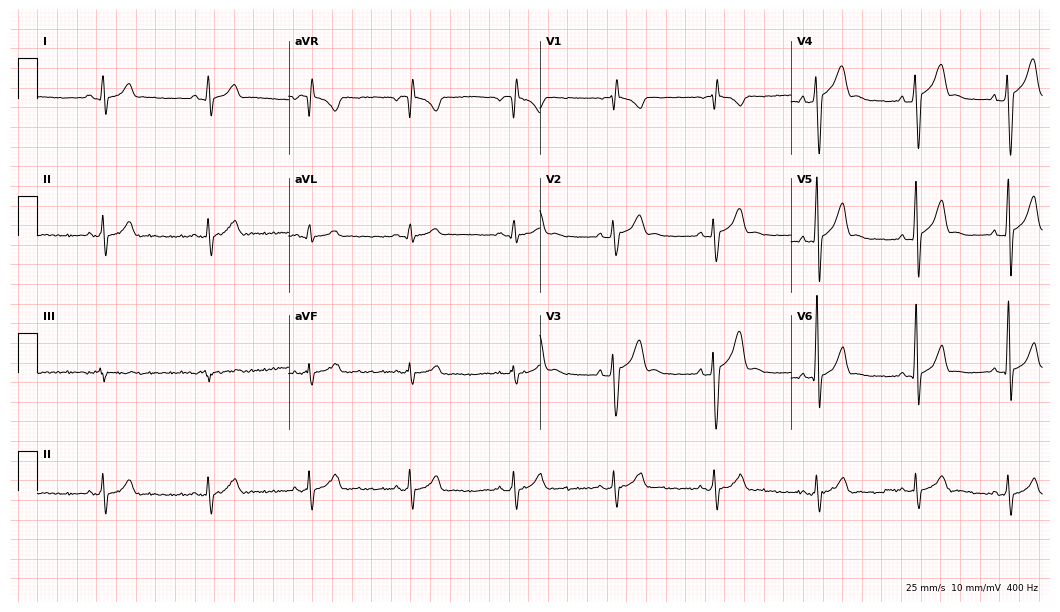
ECG — a 19-year-old male. Screened for six findings — first-degree AV block, right bundle branch block, left bundle branch block, sinus bradycardia, atrial fibrillation, sinus tachycardia — none is recorded. Other findings, if any, are not listed.